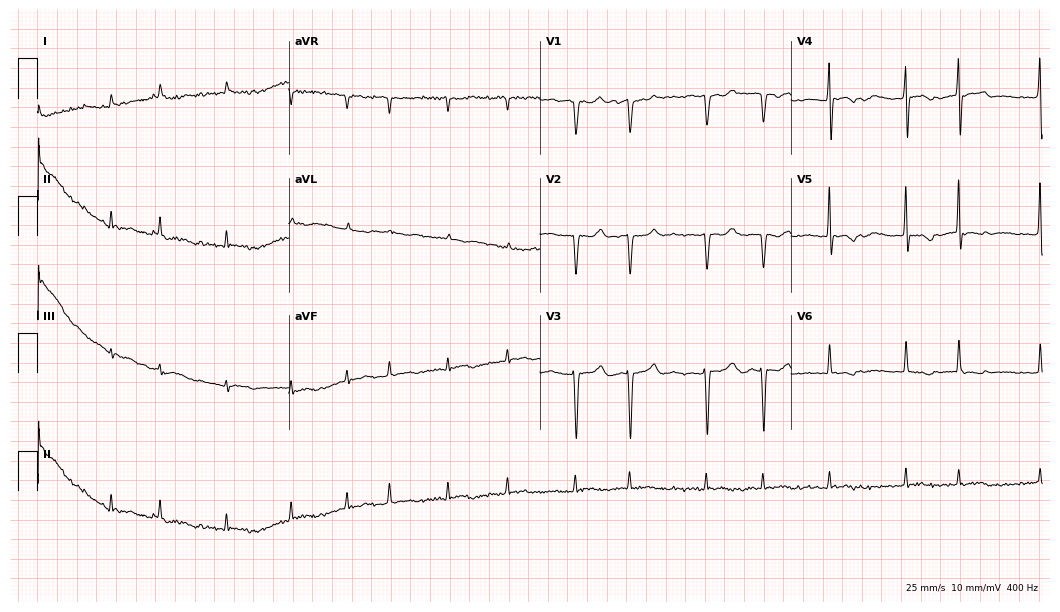
Resting 12-lead electrocardiogram. Patient: a 75-year-old male. The tracing shows atrial fibrillation.